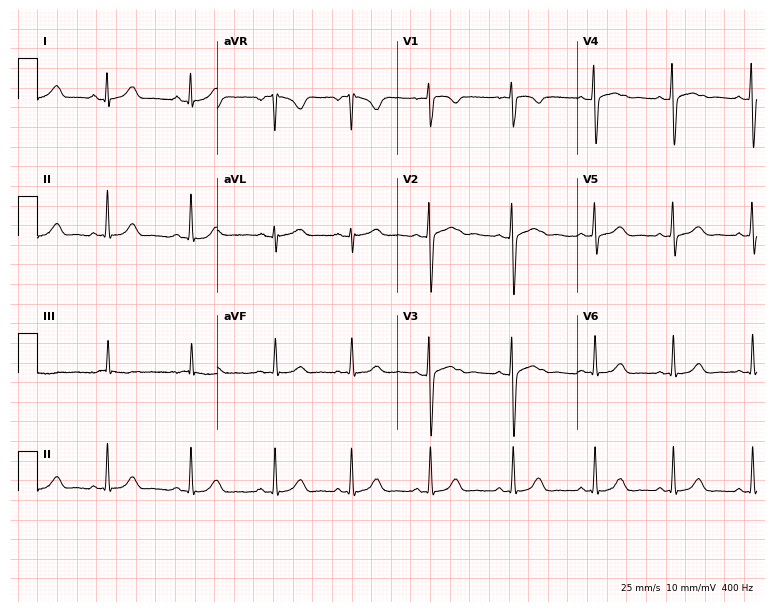
Electrocardiogram (7.3-second recording at 400 Hz), a female, 25 years old. Overall reading on record: normal ECG.